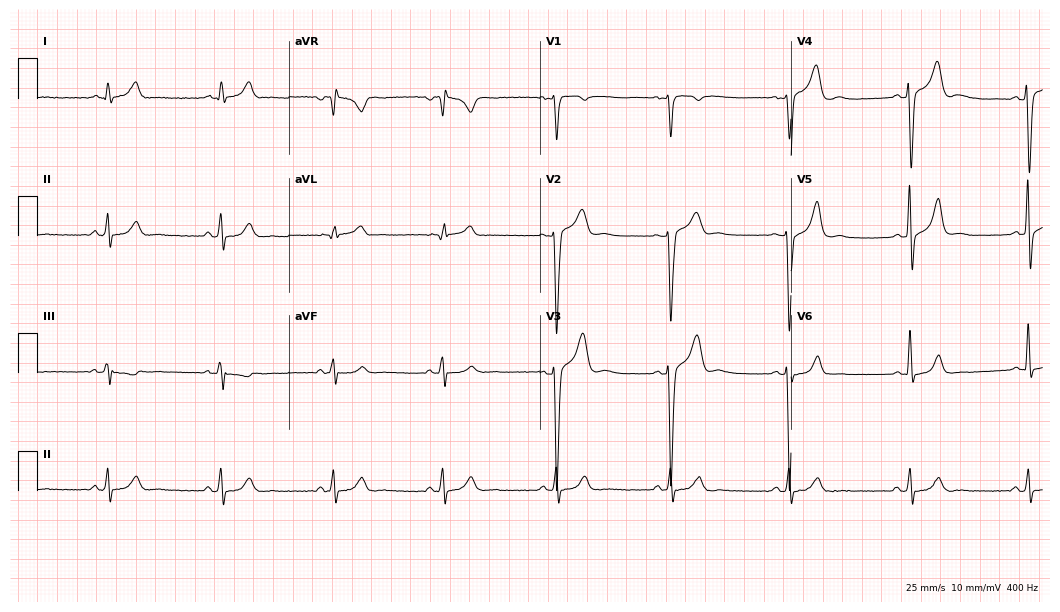
12-lead ECG from a male patient, 41 years old. No first-degree AV block, right bundle branch block, left bundle branch block, sinus bradycardia, atrial fibrillation or sinus tachycardia recorded for this tracing.